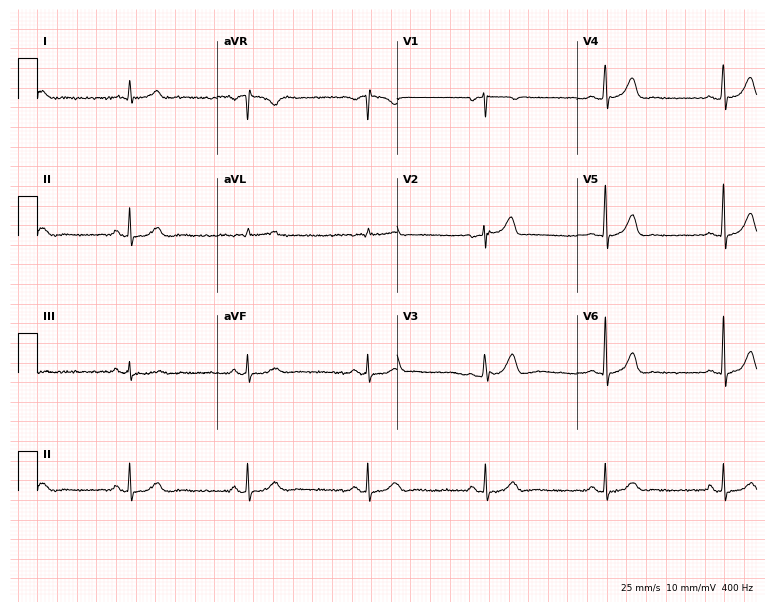
Electrocardiogram, a male, 60 years old. Interpretation includes sinus bradycardia (a sinus rate of 50 beats per minute or less).